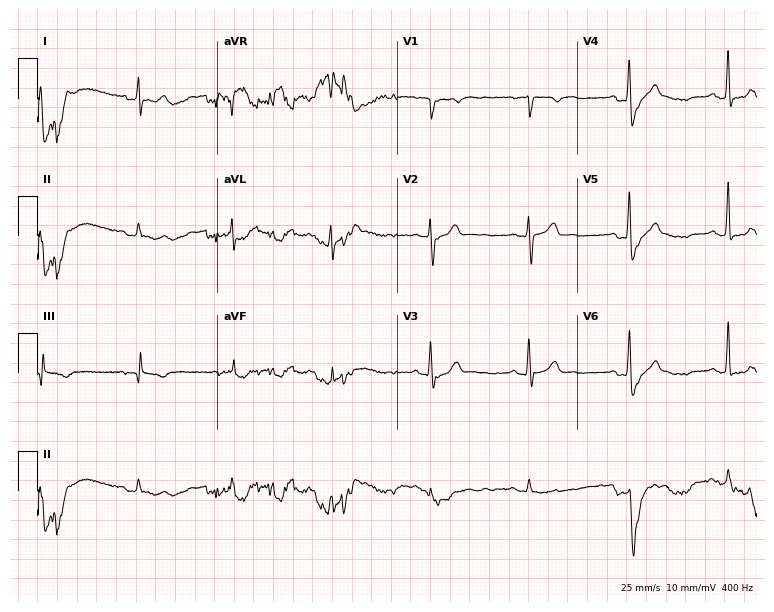
12-lead ECG from a 47-year-old man (7.3-second recording at 400 Hz). No first-degree AV block, right bundle branch block (RBBB), left bundle branch block (LBBB), sinus bradycardia, atrial fibrillation (AF) or sinus tachycardia recorded for this tracing. Findings outside these six are not listed.